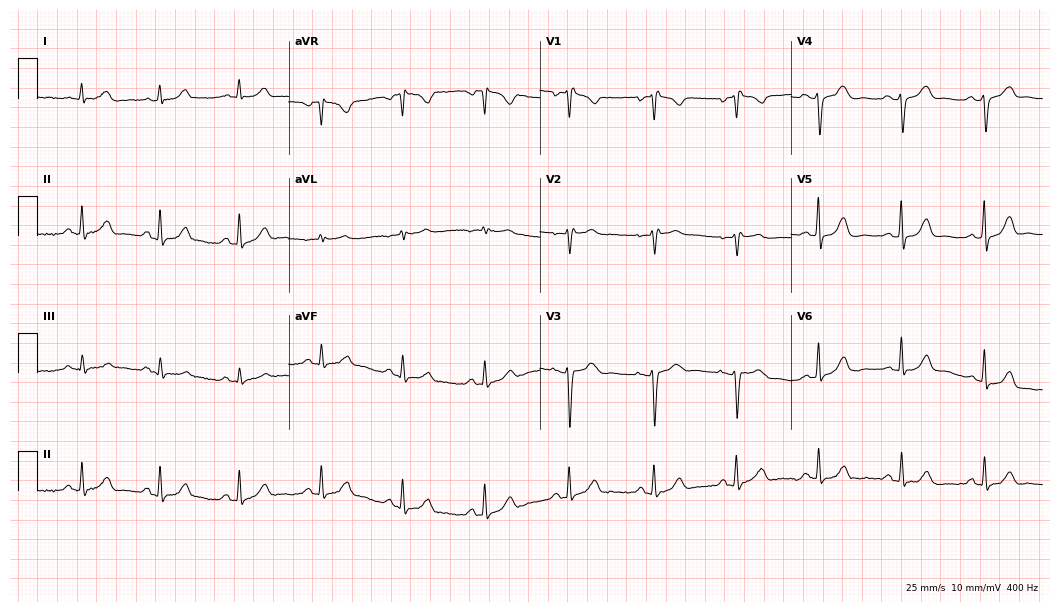
ECG — a female, 50 years old. Screened for six findings — first-degree AV block, right bundle branch block (RBBB), left bundle branch block (LBBB), sinus bradycardia, atrial fibrillation (AF), sinus tachycardia — none is recorded.